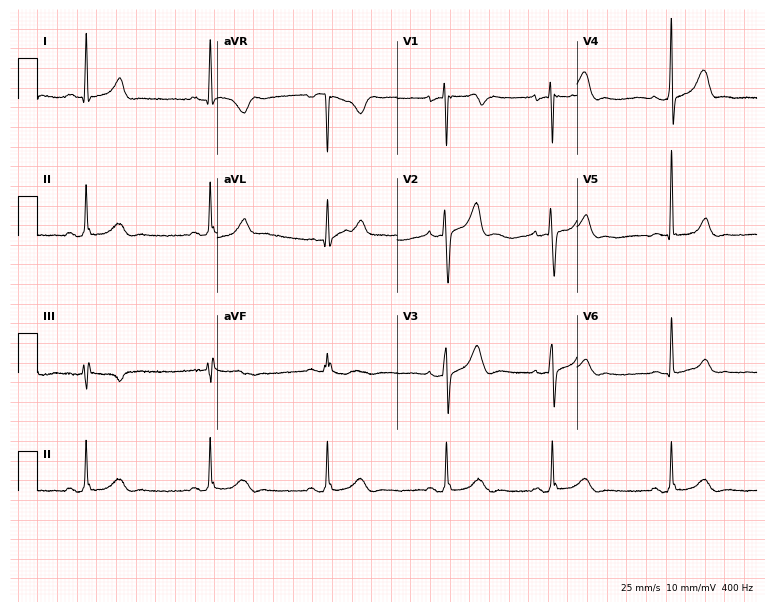
12-lead ECG from a male, 56 years old (7.3-second recording at 400 Hz). No first-degree AV block, right bundle branch block, left bundle branch block, sinus bradycardia, atrial fibrillation or sinus tachycardia recorded for this tracing.